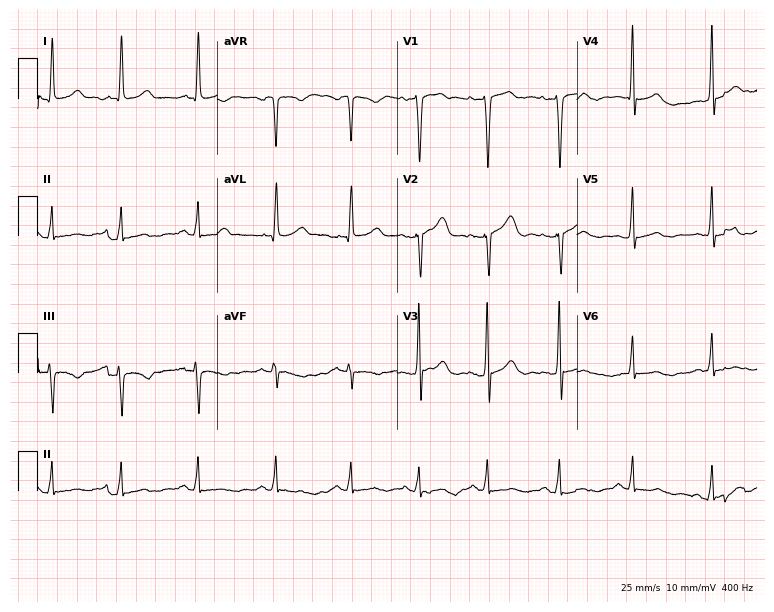
12-lead ECG (7.3-second recording at 400 Hz) from a 31-year-old female. Screened for six findings — first-degree AV block, right bundle branch block, left bundle branch block, sinus bradycardia, atrial fibrillation, sinus tachycardia — none is recorded. Findings outside these six are not listed.